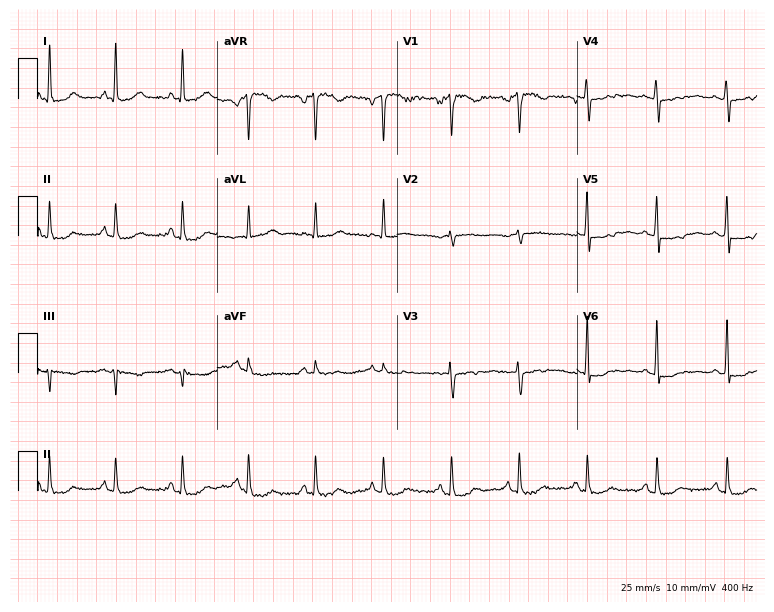
Standard 12-lead ECG recorded from a 54-year-old woman (7.3-second recording at 400 Hz). None of these six findings is recorded: first-degree AV block, right bundle branch block, left bundle branch block, sinus bradycardia, atrial fibrillation, sinus tachycardia. Findings outside these six are not listed.